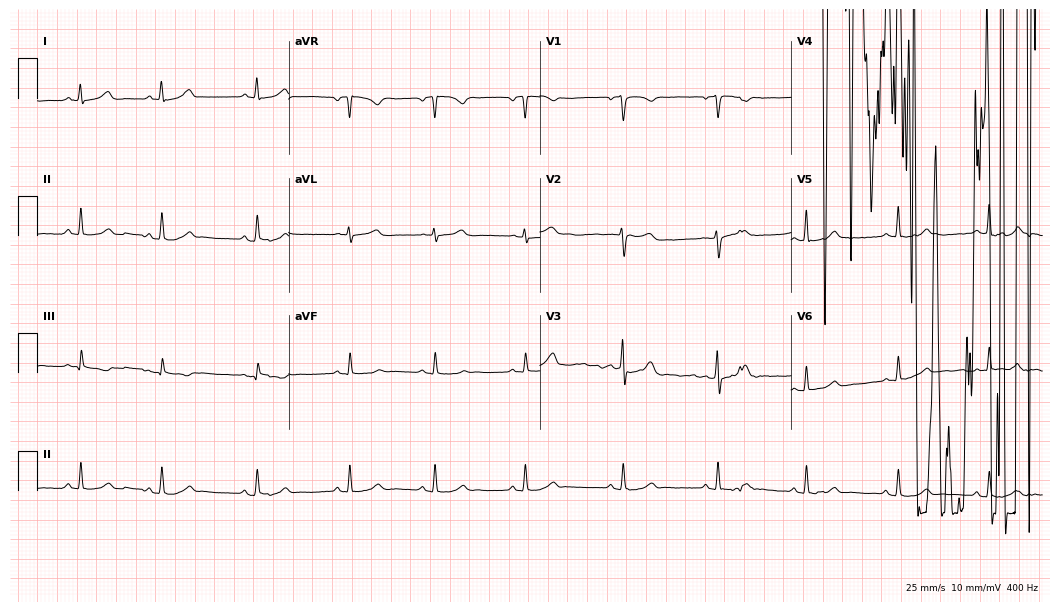
12-lead ECG from a female, 34 years old. No first-degree AV block, right bundle branch block (RBBB), left bundle branch block (LBBB), sinus bradycardia, atrial fibrillation (AF) or sinus tachycardia recorded for this tracing. Other findings, if any, are not listed.